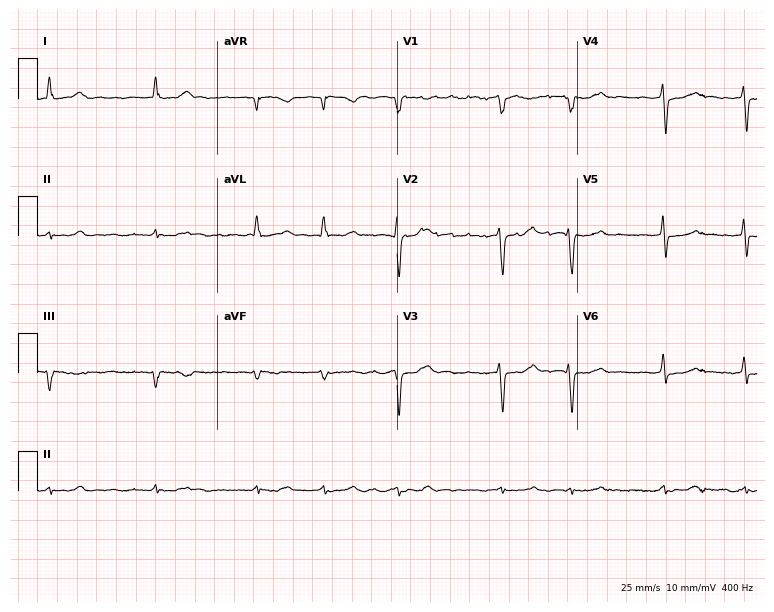
ECG — a 58-year-old male. Findings include atrial fibrillation.